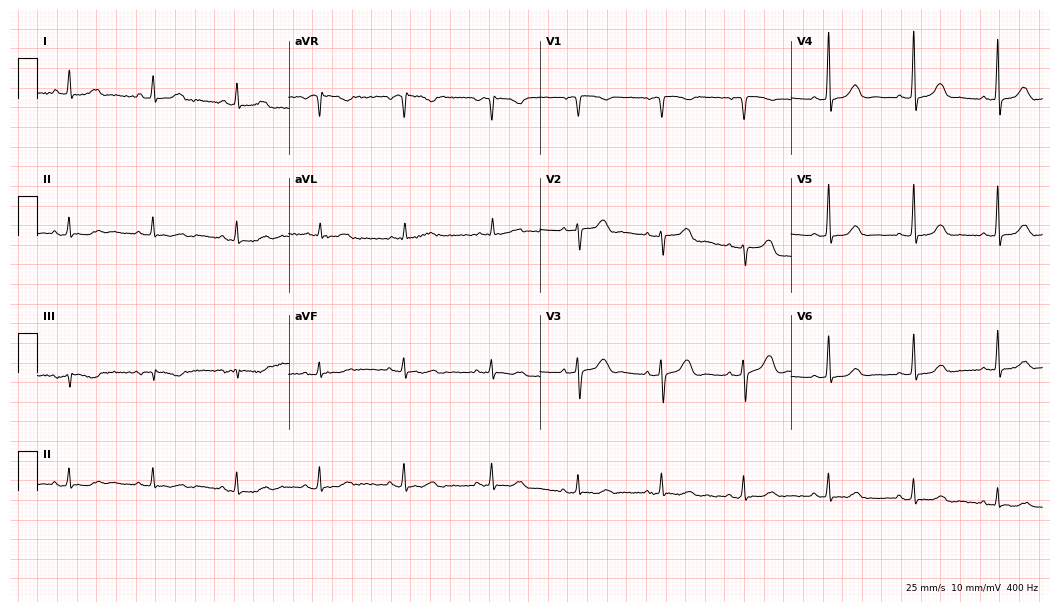
ECG — a female patient, 62 years old. Screened for six findings — first-degree AV block, right bundle branch block (RBBB), left bundle branch block (LBBB), sinus bradycardia, atrial fibrillation (AF), sinus tachycardia — none is recorded. Only these six findings were labelled.